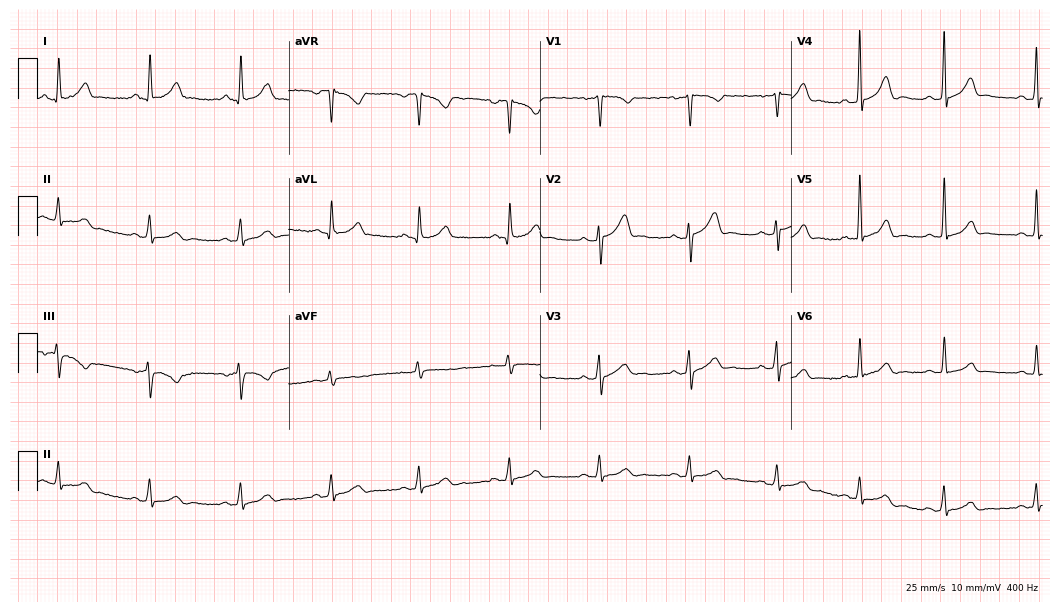
Electrocardiogram (10.2-second recording at 400 Hz), a male, 28 years old. Overall reading on record: normal ECG.